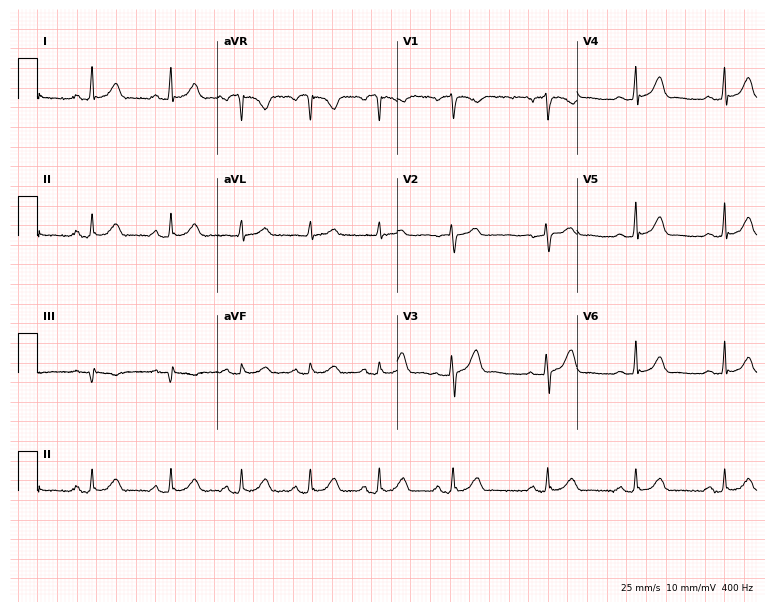
Resting 12-lead electrocardiogram. Patient: a female, 35 years old. None of these six findings is recorded: first-degree AV block, right bundle branch block, left bundle branch block, sinus bradycardia, atrial fibrillation, sinus tachycardia.